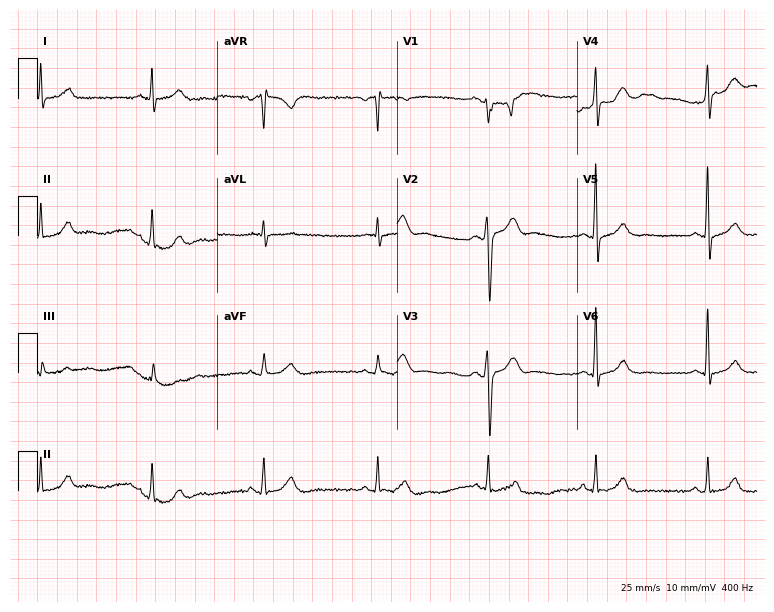
12-lead ECG (7.3-second recording at 400 Hz) from a man, 39 years old. Labelled as a normal ECG.